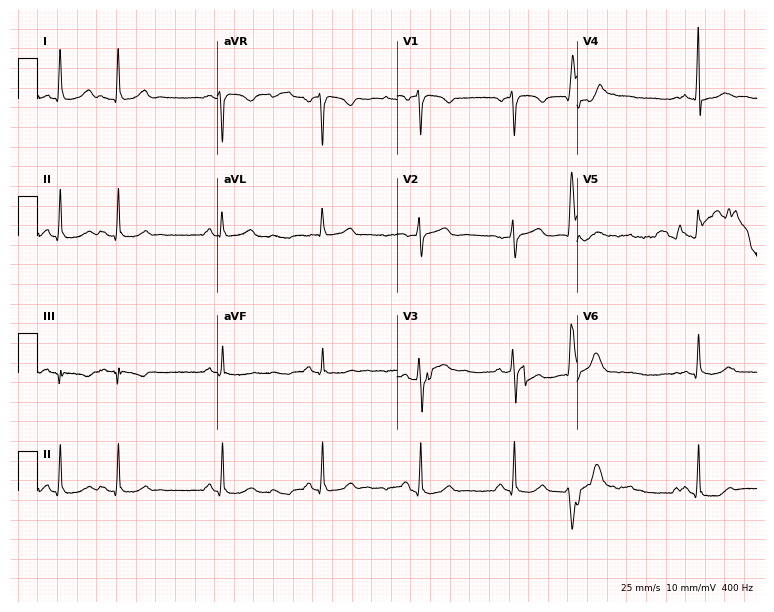
Standard 12-lead ECG recorded from a 59-year-old female patient. None of these six findings is recorded: first-degree AV block, right bundle branch block, left bundle branch block, sinus bradycardia, atrial fibrillation, sinus tachycardia. Only these six findings were labelled.